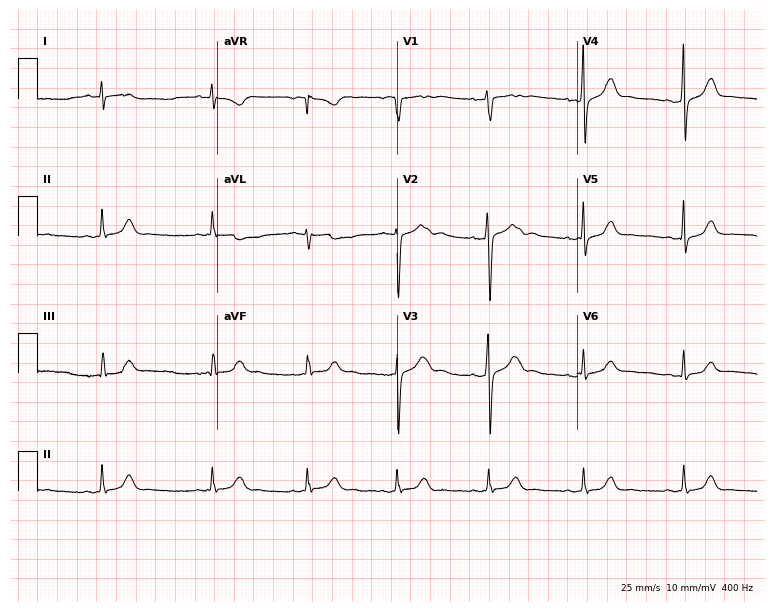
12-lead ECG from a man, 25 years old (7.3-second recording at 400 Hz). No first-degree AV block, right bundle branch block, left bundle branch block, sinus bradycardia, atrial fibrillation or sinus tachycardia recorded for this tracing. Only these six findings were labelled.